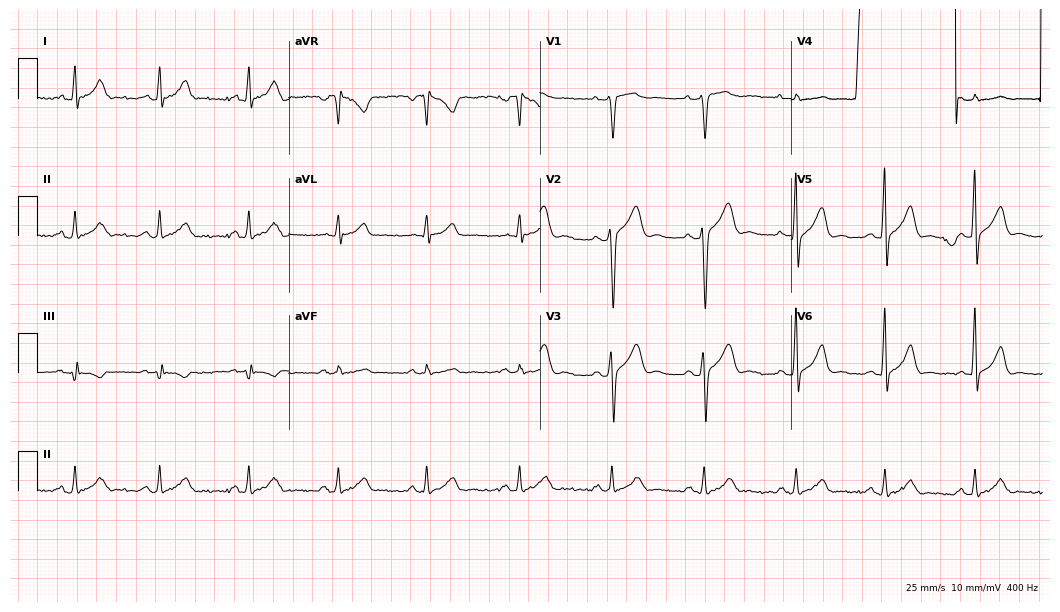
Electrocardiogram (10.2-second recording at 400 Hz), a male, 44 years old. Of the six screened findings (first-degree AV block, right bundle branch block, left bundle branch block, sinus bradycardia, atrial fibrillation, sinus tachycardia), none is recorded.